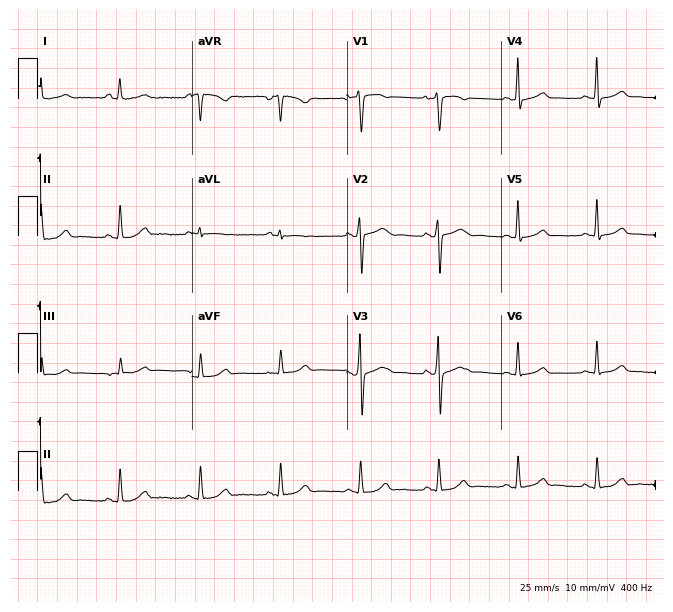
12-lead ECG (6.3-second recording at 400 Hz) from a female, 37 years old. Screened for six findings — first-degree AV block, right bundle branch block, left bundle branch block, sinus bradycardia, atrial fibrillation, sinus tachycardia — none is recorded. Other findings, if any, are not listed.